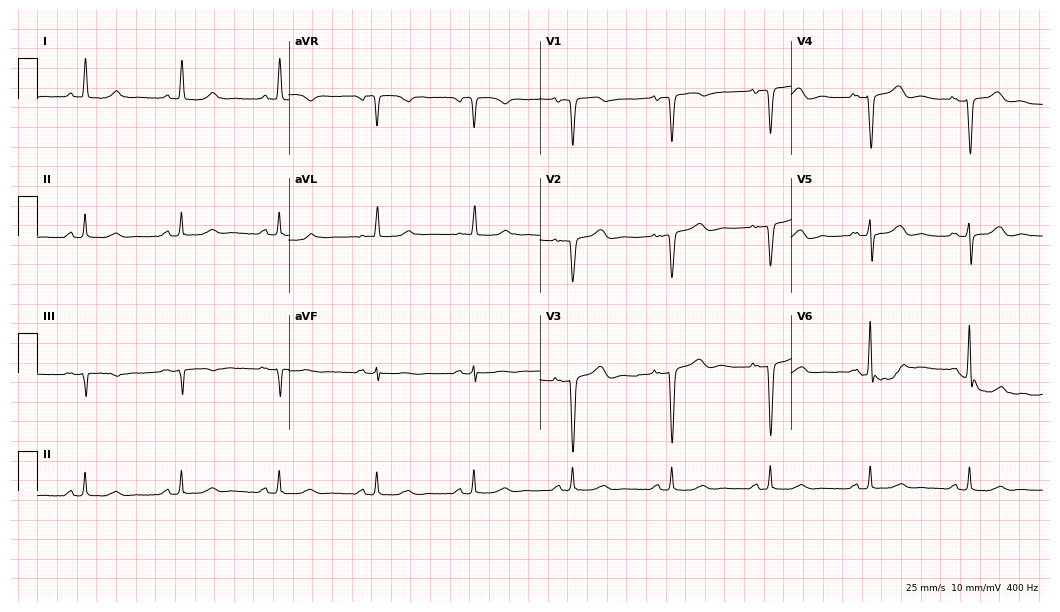
12-lead ECG (10.2-second recording at 400 Hz) from a 78-year-old woman. Screened for six findings — first-degree AV block, right bundle branch block (RBBB), left bundle branch block (LBBB), sinus bradycardia, atrial fibrillation (AF), sinus tachycardia — none is recorded. Other findings, if any, are not listed.